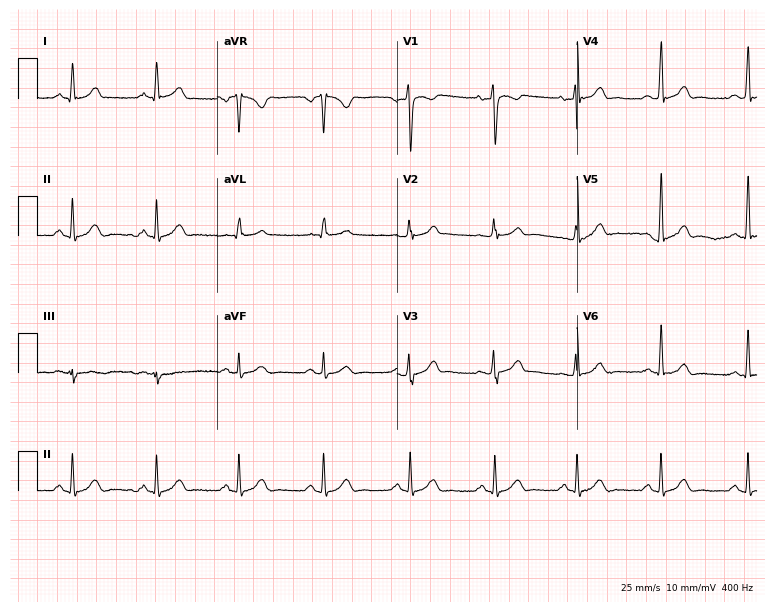
Standard 12-lead ECG recorded from a 46-year-old female patient. Read as a normal ECG.